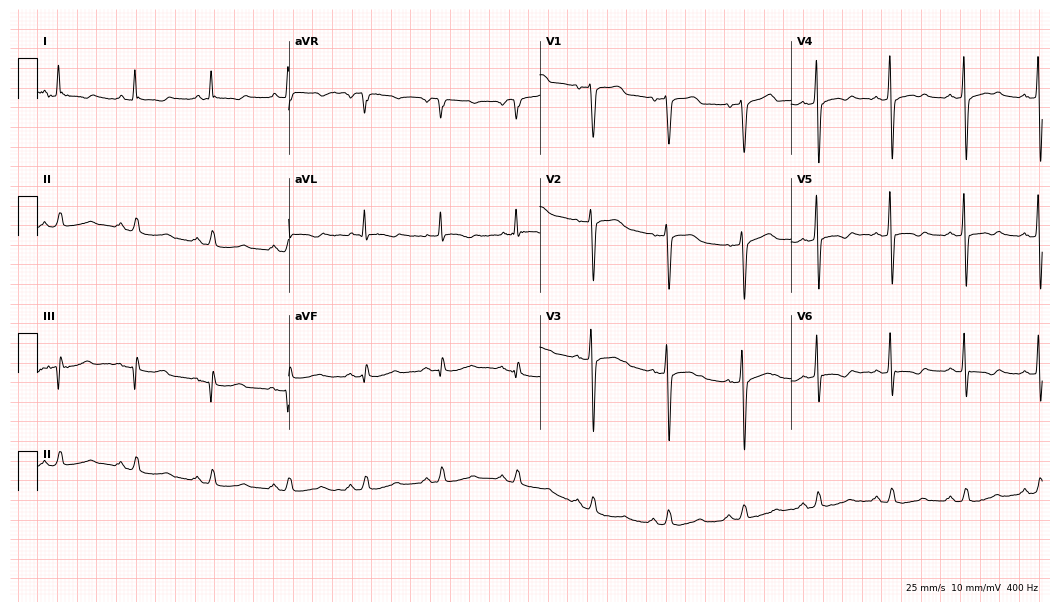
12-lead ECG from a 75-year-old male patient. Screened for six findings — first-degree AV block, right bundle branch block, left bundle branch block, sinus bradycardia, atrial fibrillation, sinus tachycardia — none is recorded. Only these six findings were labelled.